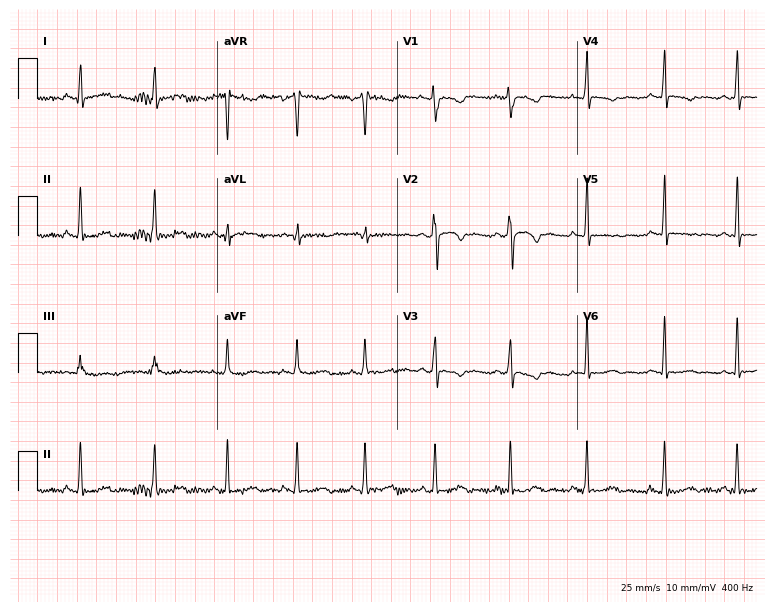
12-lead ECG from a female patient, 30 years old. Screened for six findings — first-degree AV block, right bundle branch block (RBBB), left bundle branch block (LBBB), sinus bradycardia, atrial fibrillation (AF), sinus tachycardia — none is recorded.